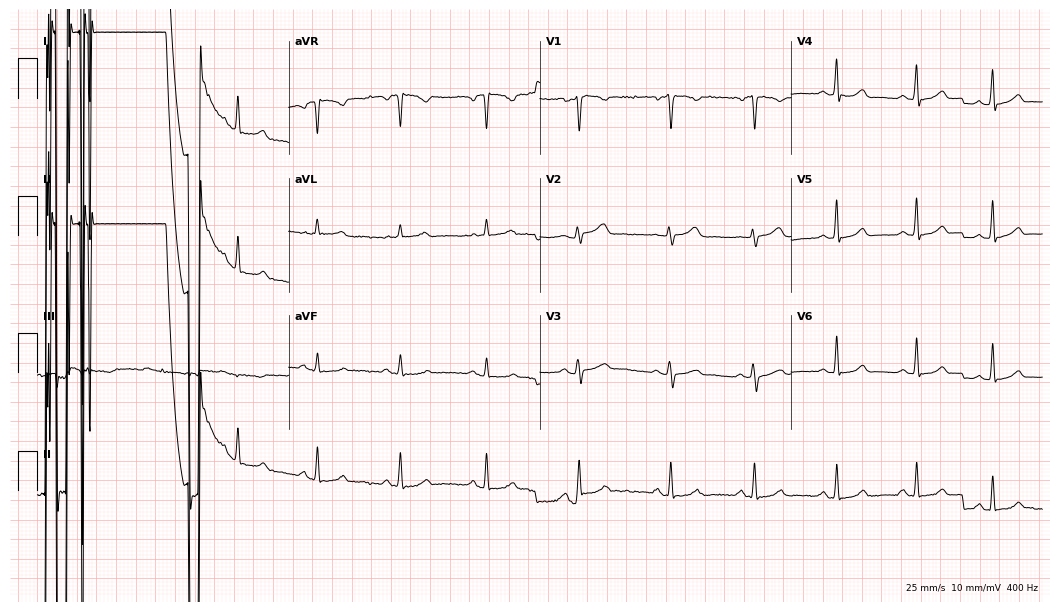
Electrocardiogram, a 36-year-old female patient. Of the six screened findings (first-degree AV block, right bundle branch block, left bundle branch block, sinus bradycardia, atrial fibrillation, sinus tachycardia), none is recorded.